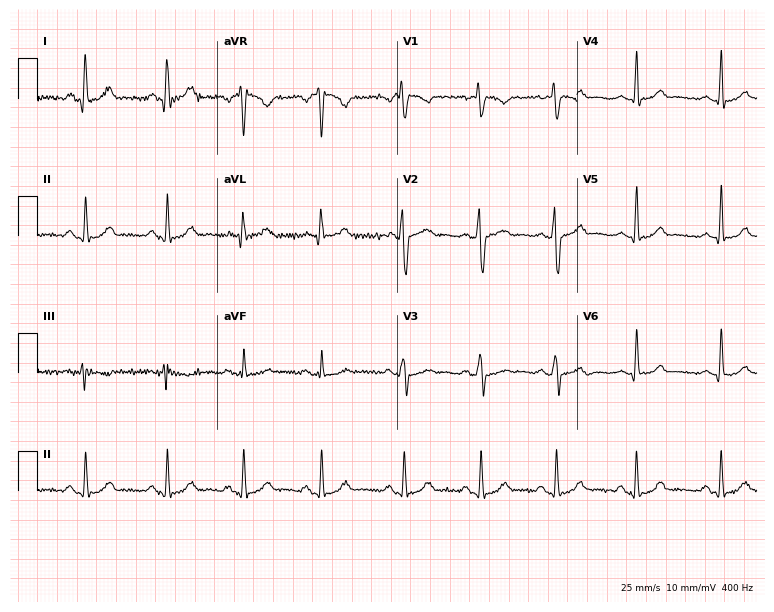
ECG — a female, 26 years old. Screened for six findings — first-degree AV block, right bundle branch block, left bundle branch block, sinus bradycardia, atrial fibrillation, sinus tachycardia — none is recorded.